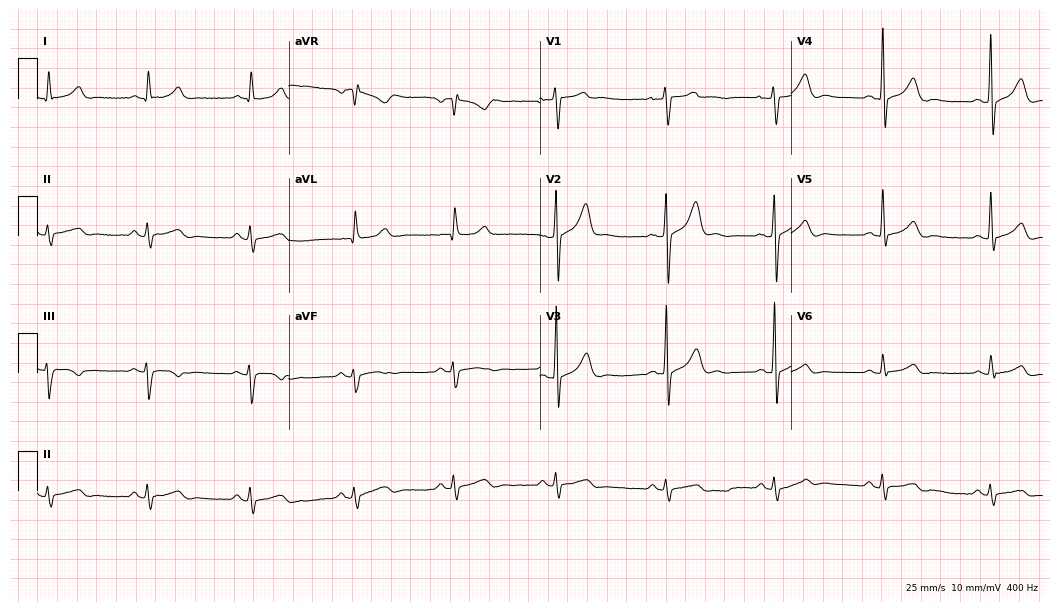
Standard 12-lead ECG recorded from a male patient, 64 years old (10.2-second recording at 400 Hz). Read as a normal ECG.